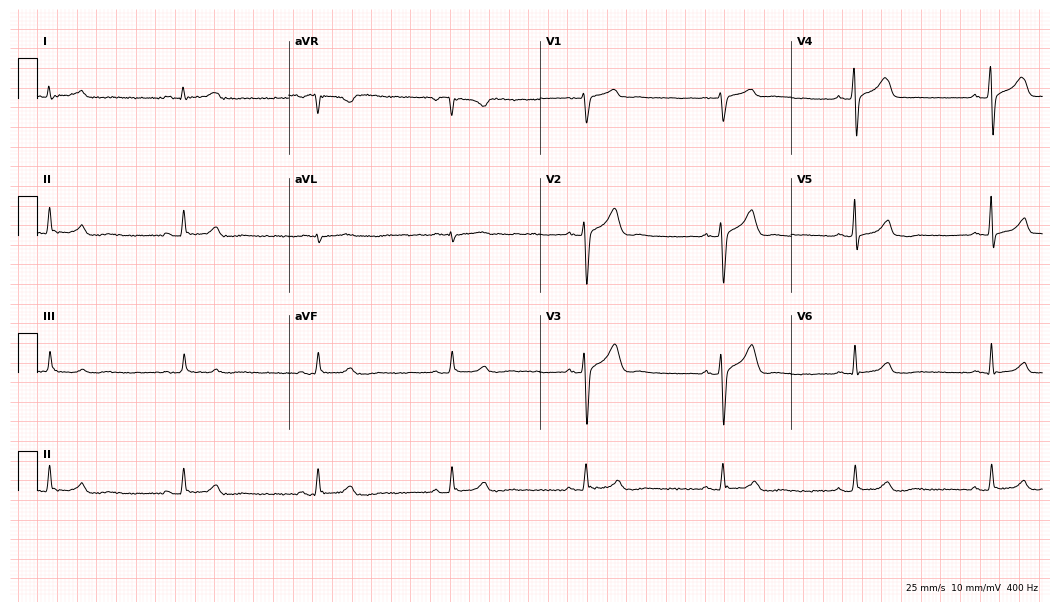
Standard 12-lead ECG recorded from a male, 65 years old. The tracing shows sinus bradycardia (a sinus rate of 50 beats per minute or less).